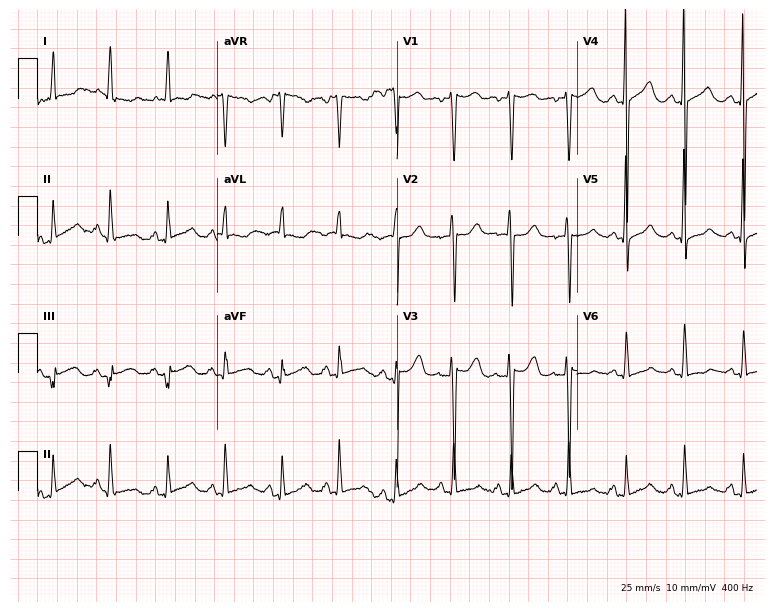
Resting 12-lead electrocardiogram. Patient: a 44-year-old female. The tracing shows sinus tachycardia (a sinus rate of 100 beats per minute or more).